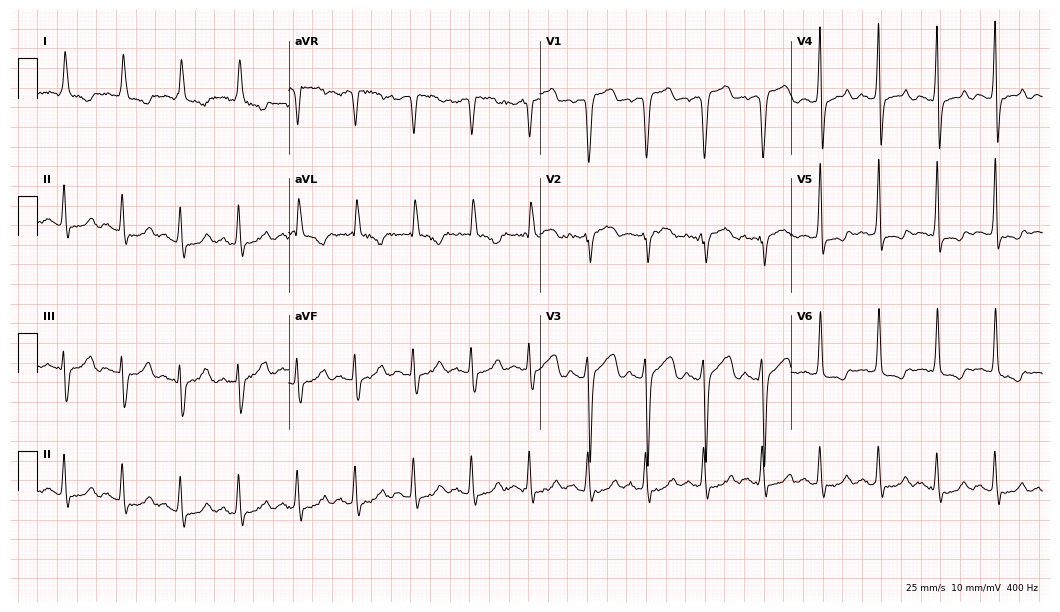
Electrocardiogram (10.2-second recording at 400 Hz), a 50-year-old female patient. Interpretation includes sinus tachycardia (a sinus rate of 100 beats per minute or more).